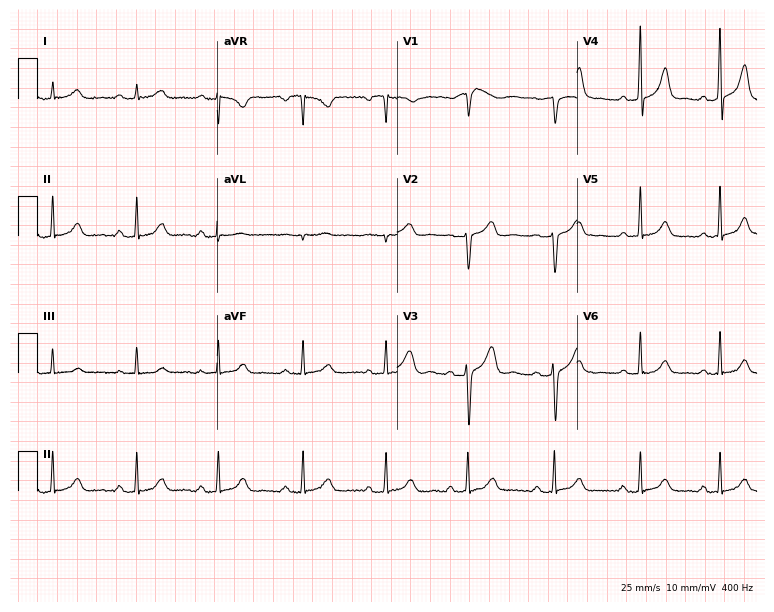
ECG (7.3-second recording at 400 Hz) — a 45-year-old female patient. Screened for six findings — first-degree AV block, right bundle branch block (RBBB), left bundle branch block (LBBB), sinus bradycardia, atrial fibrillation (AF), sinus tachycardia — none is recorded. Other findings, if any, are not listed.